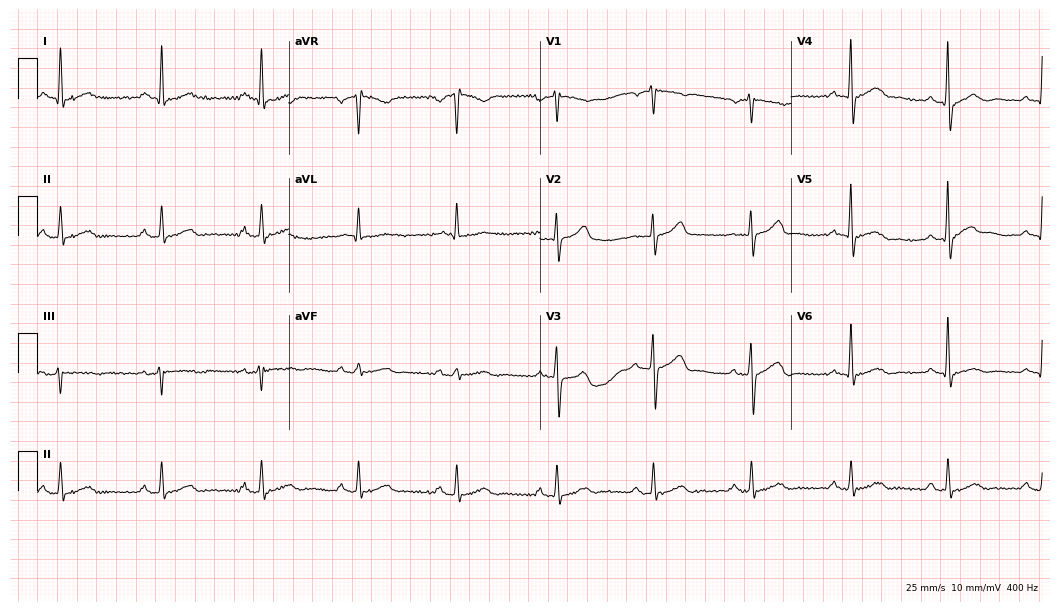
Resting 12-lead electrocardiogram. Patient: a 64-year-old man. Read as a normal ECG.